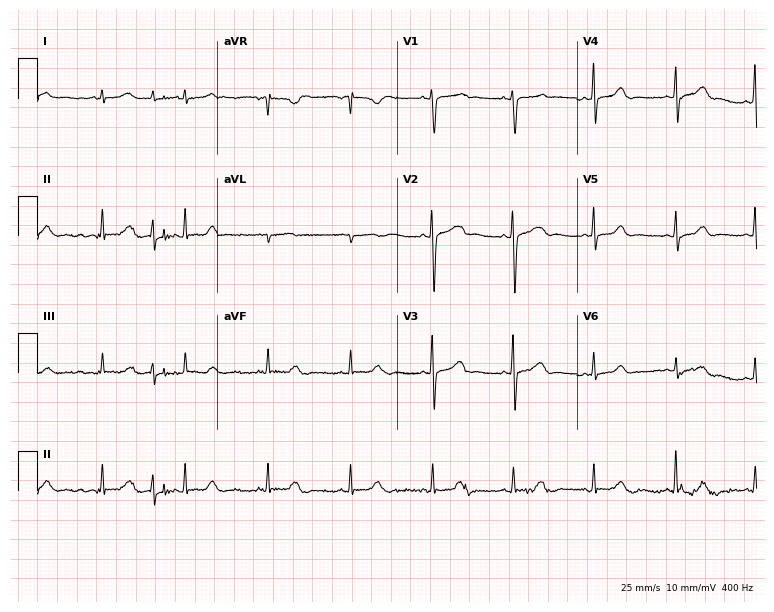
12-lead ECG from a woman, 44 years old. Screened for six findings — first-degree AV block, right bundle branch block, left bundle branch block, sinus bradycardia, atrial fibrillation, sinus tachycardia — none is recorded. Only these six findings were labelled.